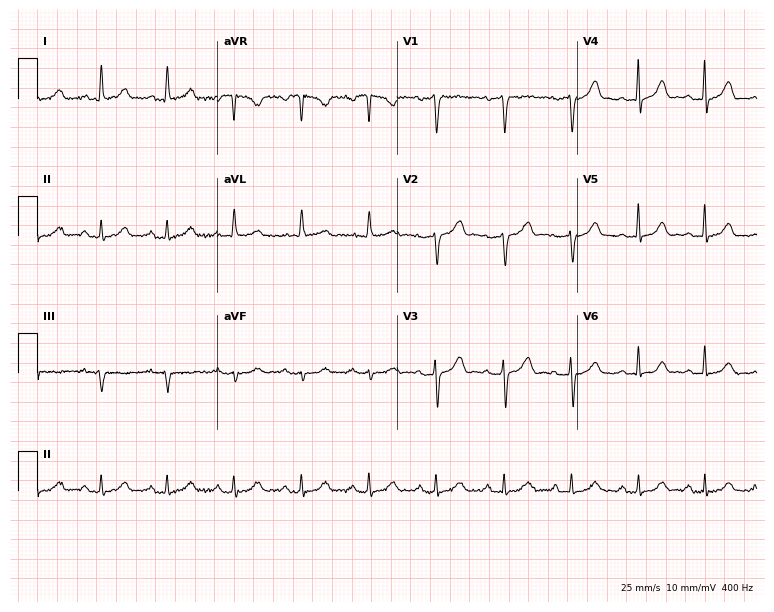
ECG (7.3-second recording at 400 Hz) — a female, 62 years old. Labelled as a normal ECG.